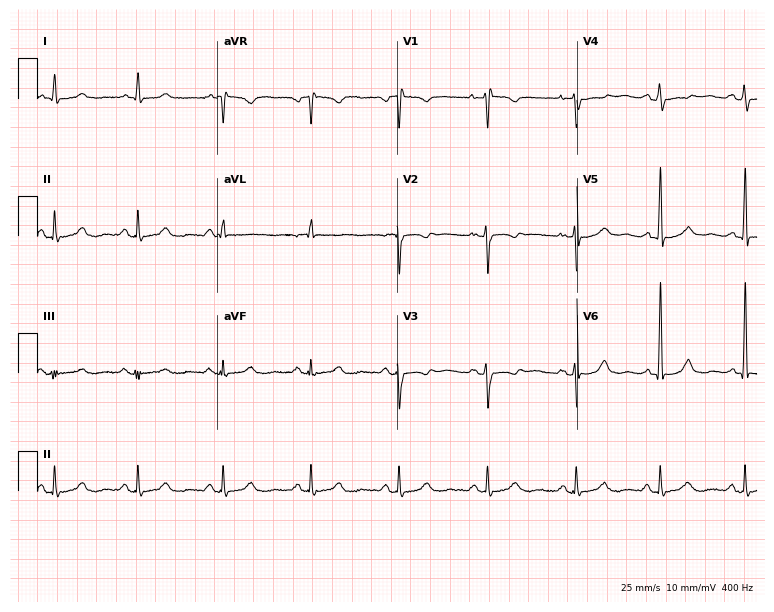
Electrocardiogram, a female, 51 years old. Of the six screened findings (first-degree AV block, right bundle branch block (RBBB), left bundle branch block (LBBB), sinus bradycardia, atrial fibrillation (AF), sinus tachycardia), none is recorded.